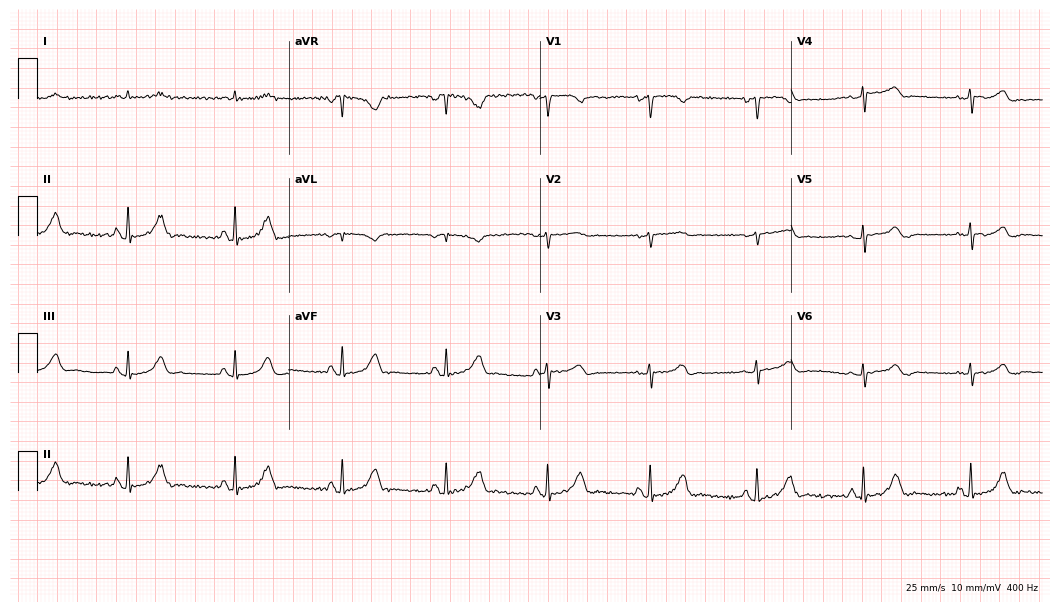
12-lead ECG from a 78-year-old male (10.2-second recording at 400 Hz). Recorded interpretation: within normal limits.